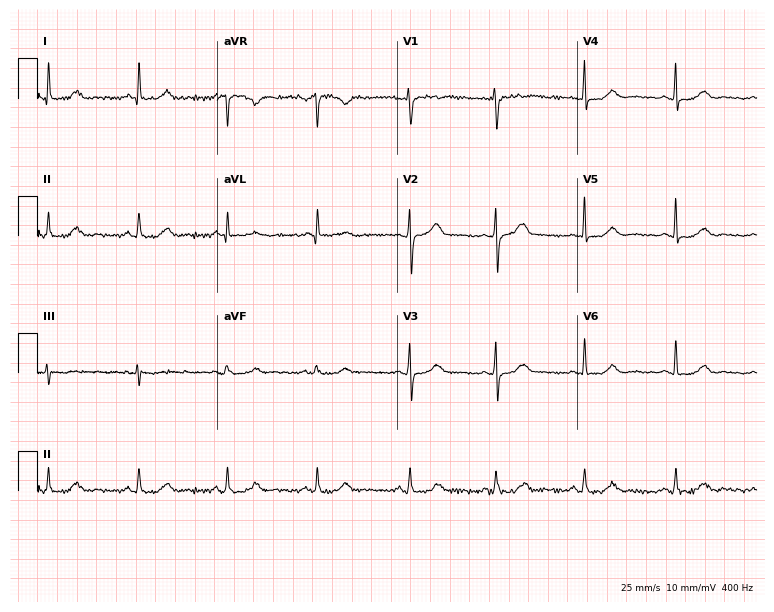
12-lead ECG from a woman, 55 years old. Screened for six findings — first-degree AV block, right bundle branch block, left bundle branch block, sinus bradycardia, atrial fibrillation, sinus tachycardia — none is recorded. Other findings, if any, are not listed.